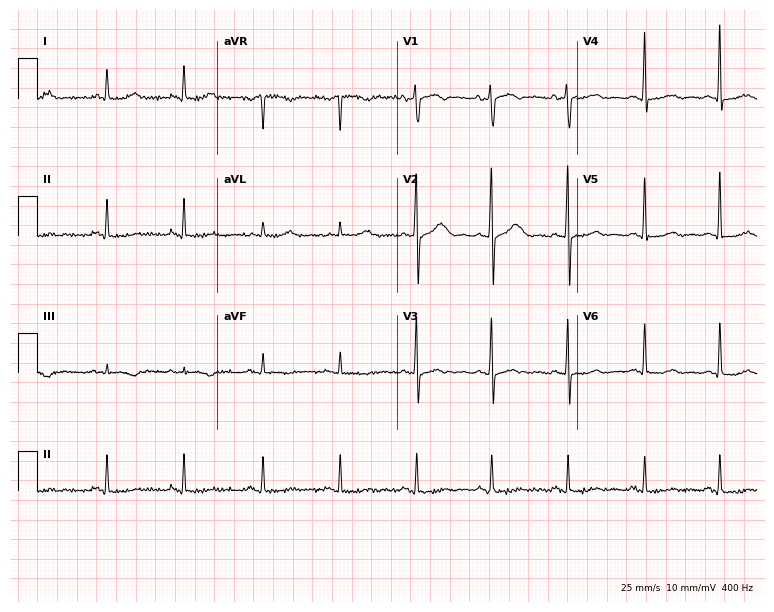
Resting 12-lead electrocardiogram. Patient: an 81-year-old female. None of these six findings is recorded: first-degree AV block, right bundle branch block (RBBB), left bundle branch block (LBBB), sinus bradycardia, atrial fibrillation (AF), sinus tachycardia. Only these six findings were labelled.